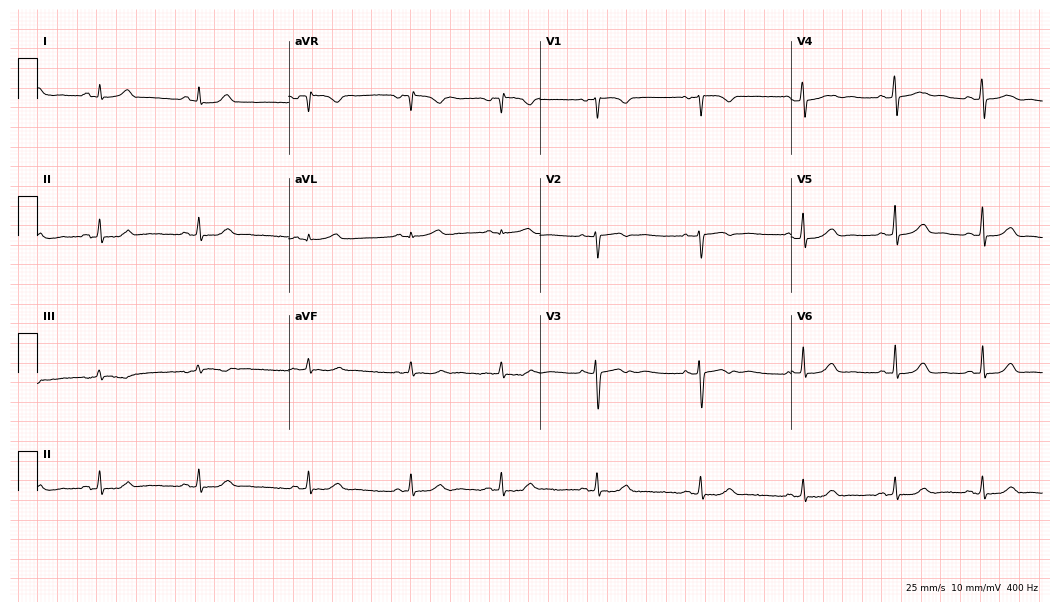
Electrocardiogram (10.2-second recording at 400 Hz), a female patient, 28 years old. Of the six screened findings (first-degree AV block, right bundle branch block, left bundle branch block, sinus bradycardia, atrial fibrillation, sinus tachycardia), none is recorded. Findings outside these six are not listed.